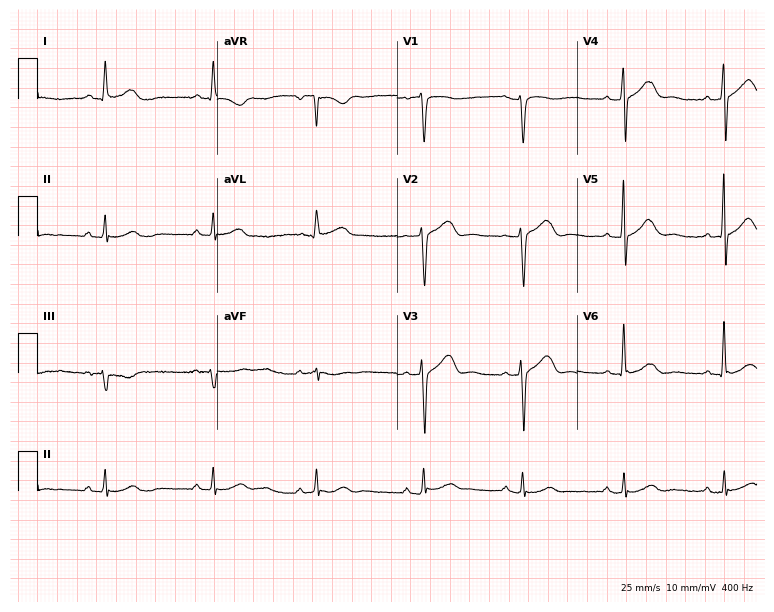
12-lead ECG (7.3-second recording at 400 Hz) from a female, 57 years old. Screened for six findings — first-degree AV block, right bundle branch block, left bundle branch block, sinus bradycardia, atrial fibrillation, sinus tachycardia — none is recorded. Other findings, if any, are not listed.